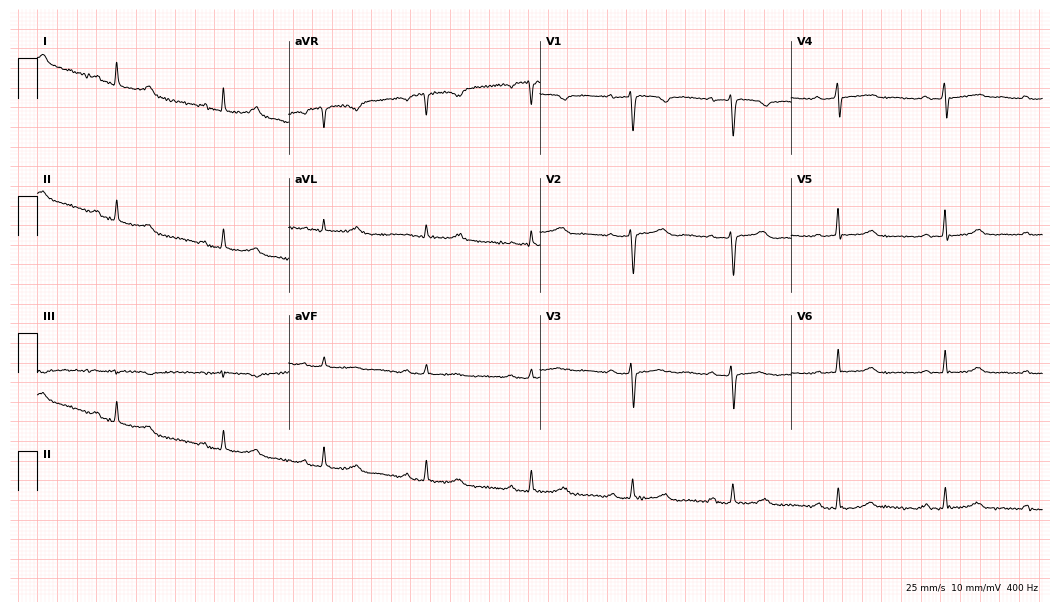
Standard 12-lead ECG recorded from a female, 59 years old (10.2-second recording at 400 Hz). Read as a normal ECG.